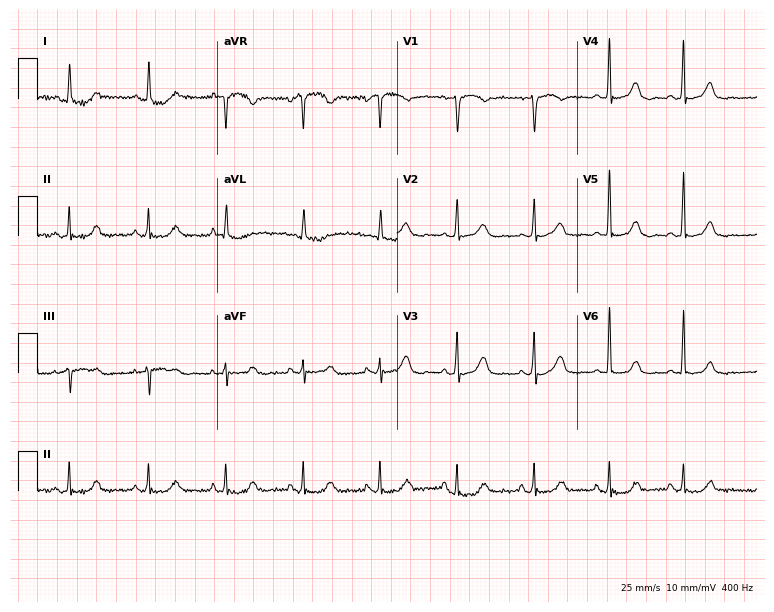
12-lead ECG from a female patient, 70 years old (7.3-second recording at 400 Hz). Recorded interpretation: within normal limits.